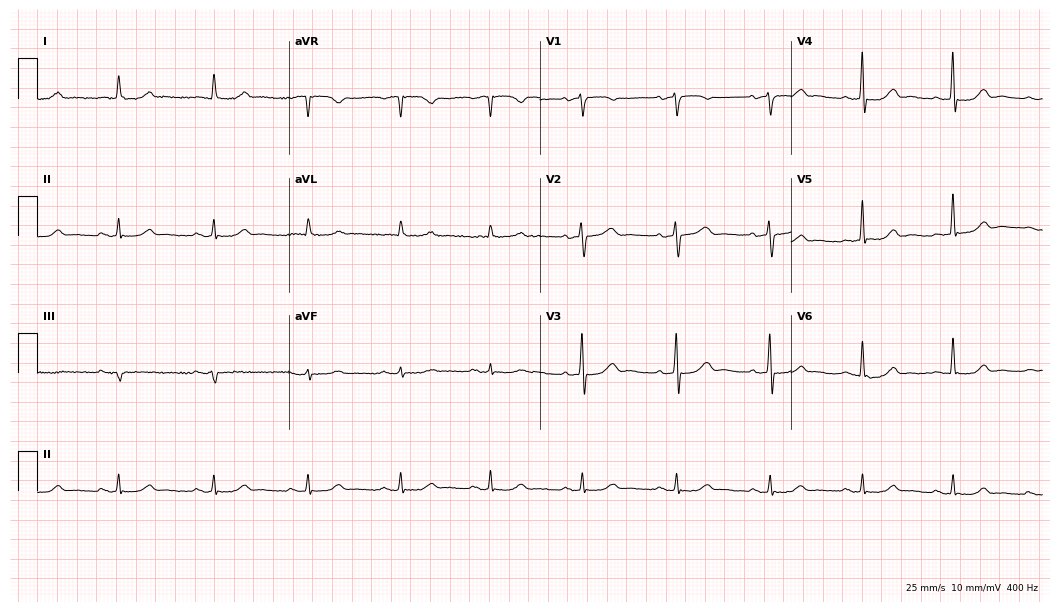
Electrocardiogram (10.2-second recording at 400 Hz), a 77-year-old female patient. Of the six screened findings (first-degree AV block, right bundle branch block, left bundle branch block, sinus bradycardia, atrial fibrillation, sinus tachycardia), none is recorded. Other findings, if any, are not listed.